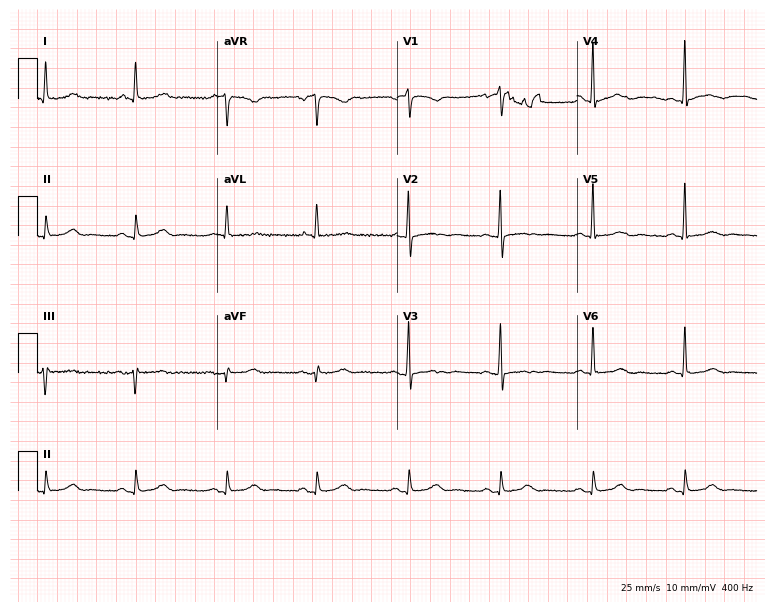
Electrocardiogram, a woman, 84 years old. Of the six screened findings (first-degree AV block, right bundle branch block, left bundle branch block, sinus bradycardia, atrial fibrillation, sinus tachycardia), none is recorded. Findings outside these six are not listed.